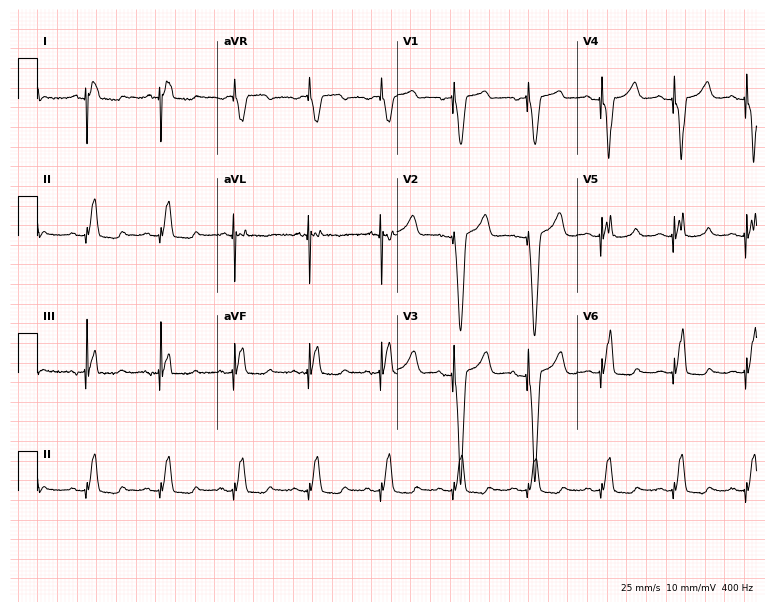
ECG (7.3-second recording at 400 Hz) — a female, 82 years old. Screened for six findings — first-degree AV block, right bundle branch block, left bundle branch block, sinus bradycardia, atrial fibrillation, sinus tachycardia — none is recorded. Only these six findings were labelled.